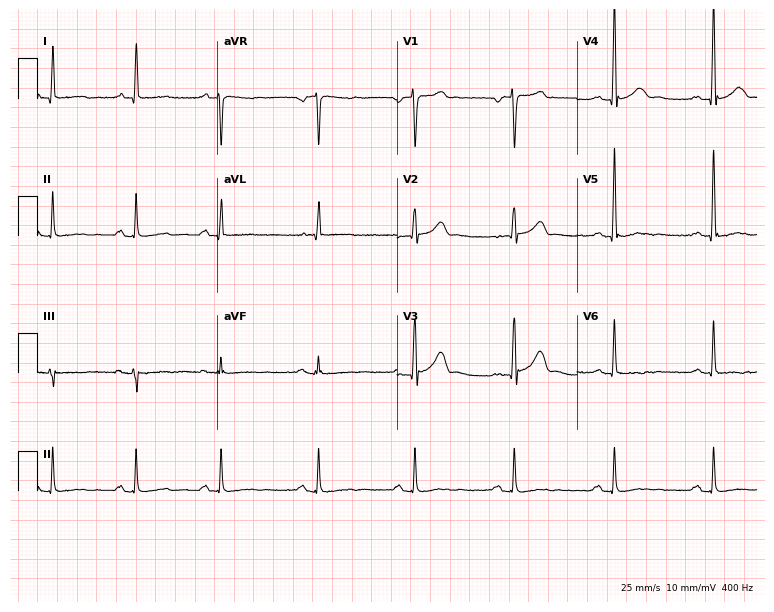
12-lead ECG from a 64-year-old male. Recorded interpretation: within normal limits.